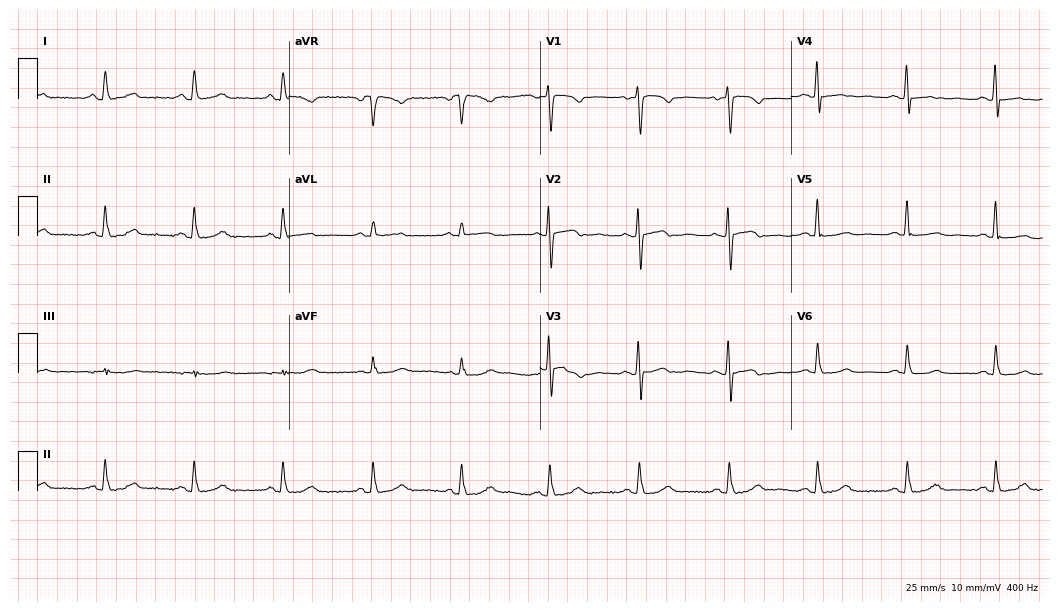
12-lead ECG (10.2-second recording at 400 Hz) from a female patient, 61 years old. Screened for six findings — first-degree AV block, right bundle branch block, left bundle branch block, sinus bradycardia, atrial fibrillation, sinus tachycardia — none is recorded.